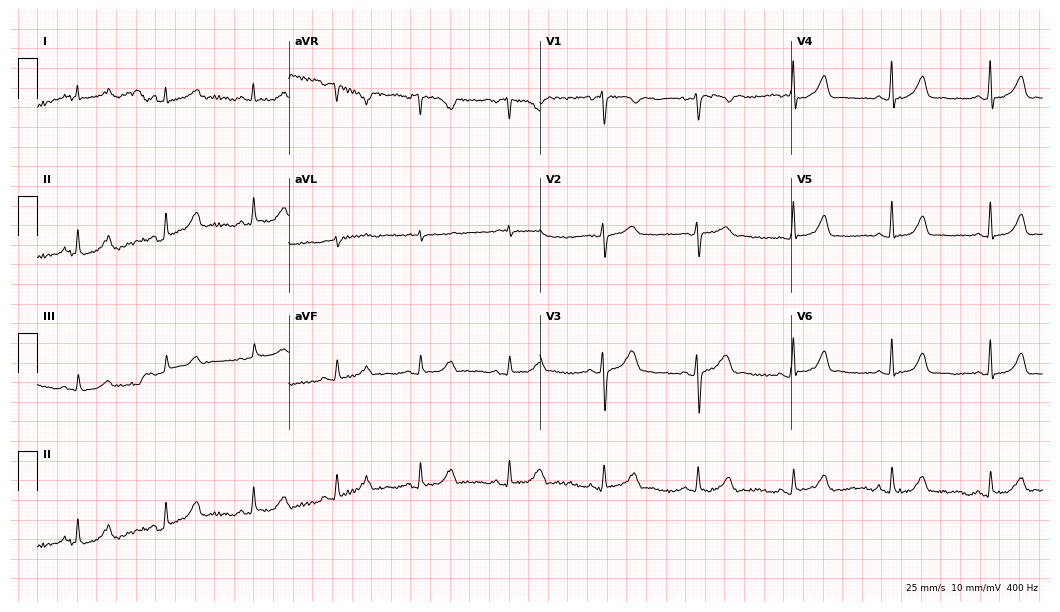
ECG — a female patient, 40 years old. Labelled as a normal ECG.